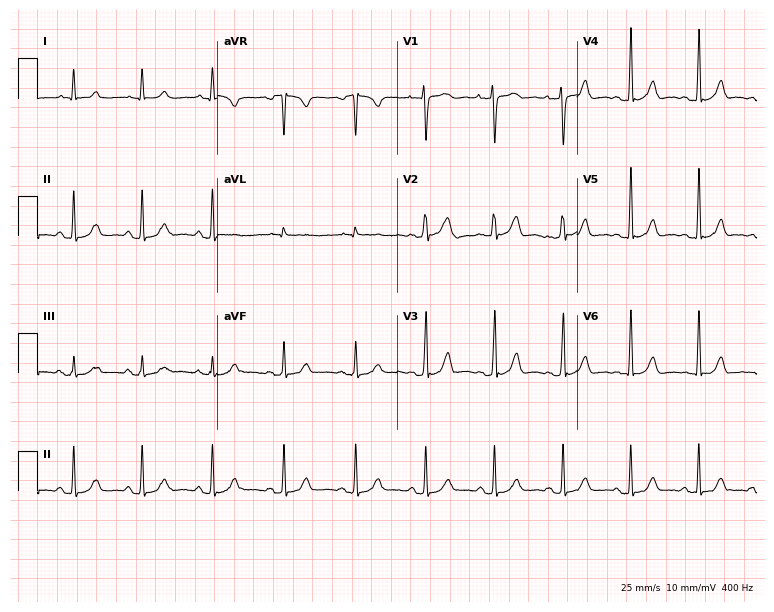
Resting 12-lead electrocardiogram. Patient: a 41-year-old female. Read as a normal ECG.